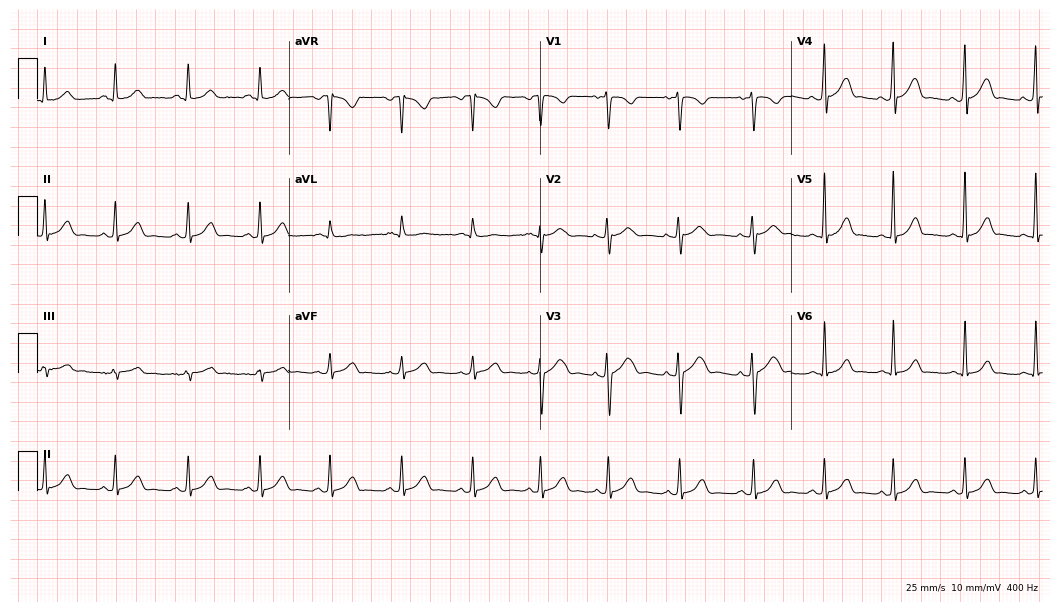
Electrocardiogram, a 20-year-old female patient. Of the six screened findings (first-degree AV block, right bundle branch block, left bundle branch block, sinus bradycardia, atrial fibrillation, sinus tachycardia), none is recorded. Only these six findings were labelled.